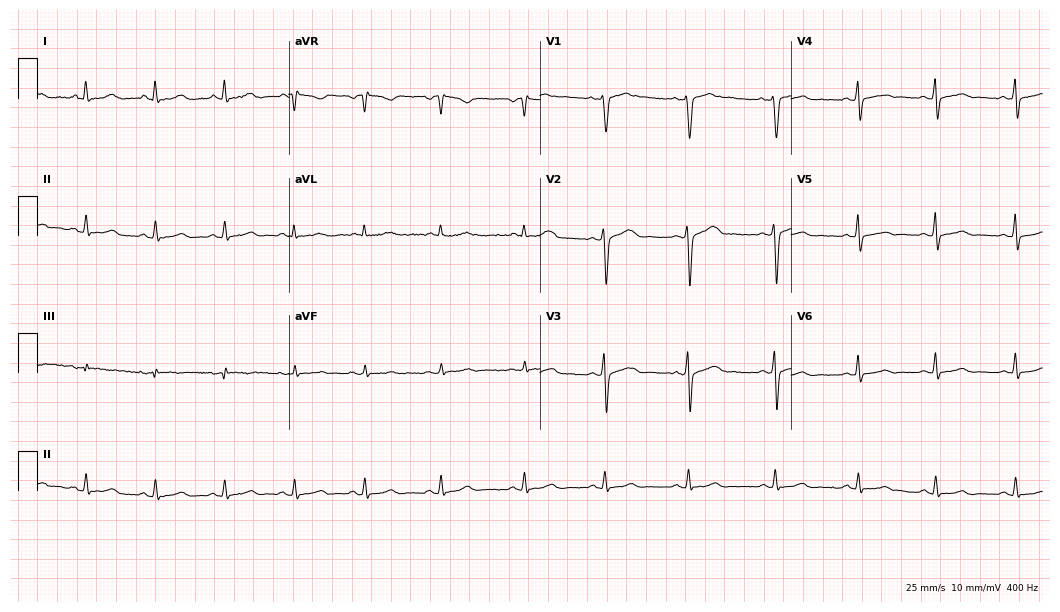
12-lead ECG from a 33-year-old woman. Screened for six findings — first-degree AV block, right bundle branch block, left bundle branch block, sinus bradycardia, atrial fibrillation, sinus tachycardia — none is recorded.